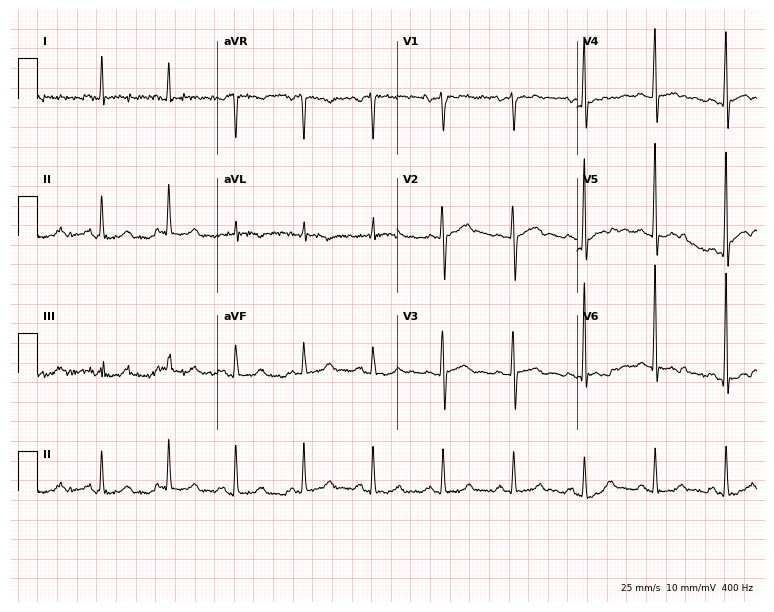
Electrocardiogram, a male, 68 years old. Of the six screened findings (first-degree AV block, right bundle branch block, left bundle branch block, sinus bradycardia, atrial fibrillation, sinus tachycardia), none is recorded.